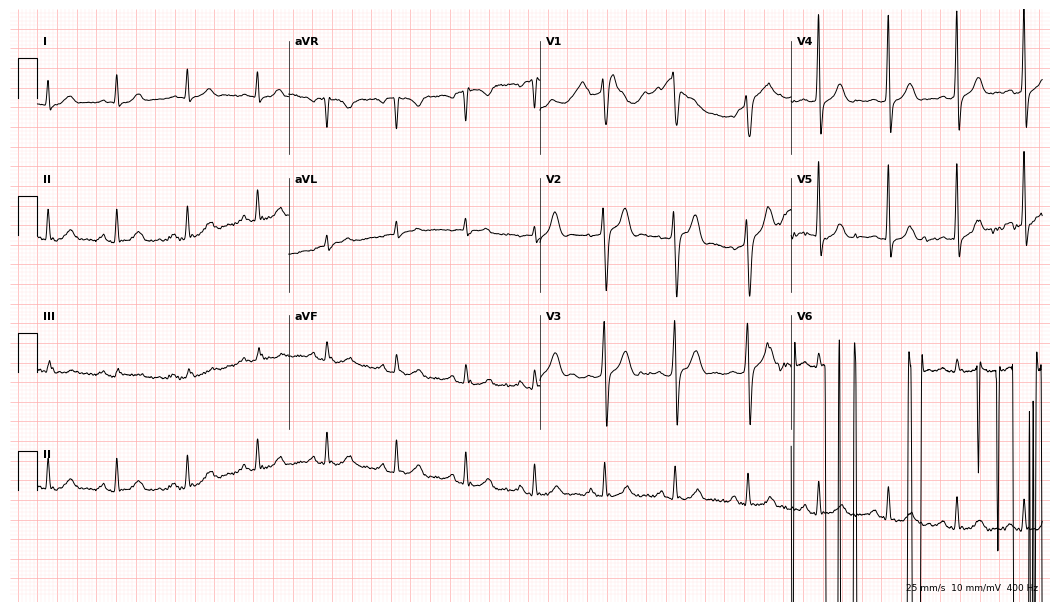
ECG (10.2-second recording at 400 Hz) — a 36-year-old male patient. Screened for six findings — first-degree AV block, right bundle branch block, left bundle branch block, sinus bradycardia, atrial fibrillation, sinus tachycardia — none is recorded. Only these six findings were labelled.